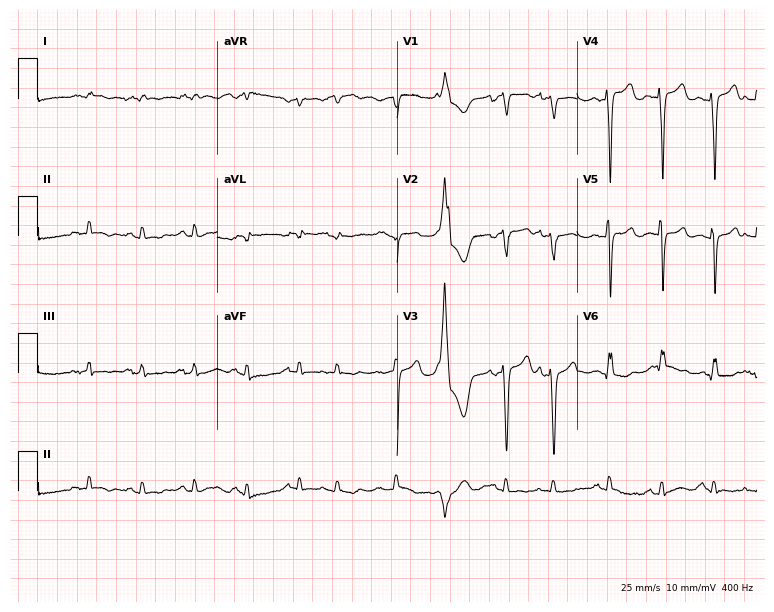
12-lead ECG (7.3-second recording at 400 Hz) from a 54-year-old female patient. Findings include sinus tachycardia (a sinus rate of 100 beats per minute or more).